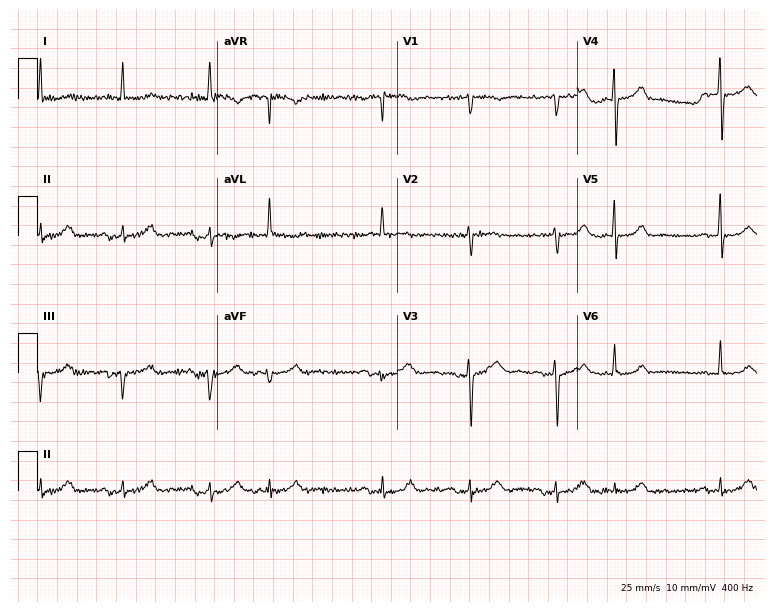
12-lead ECG from a female, 77 years old. Recorded interpretation: within normal limits.